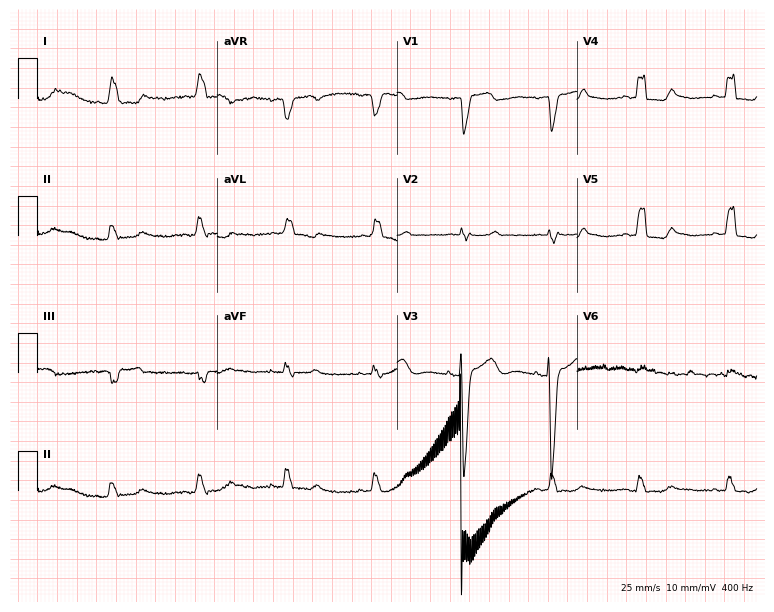
Resting 12-lead electrocardiogram (7.3-second recording at 400 Hz). Patient: an 82-year-old woman. The tracing shows left bundle branch block.